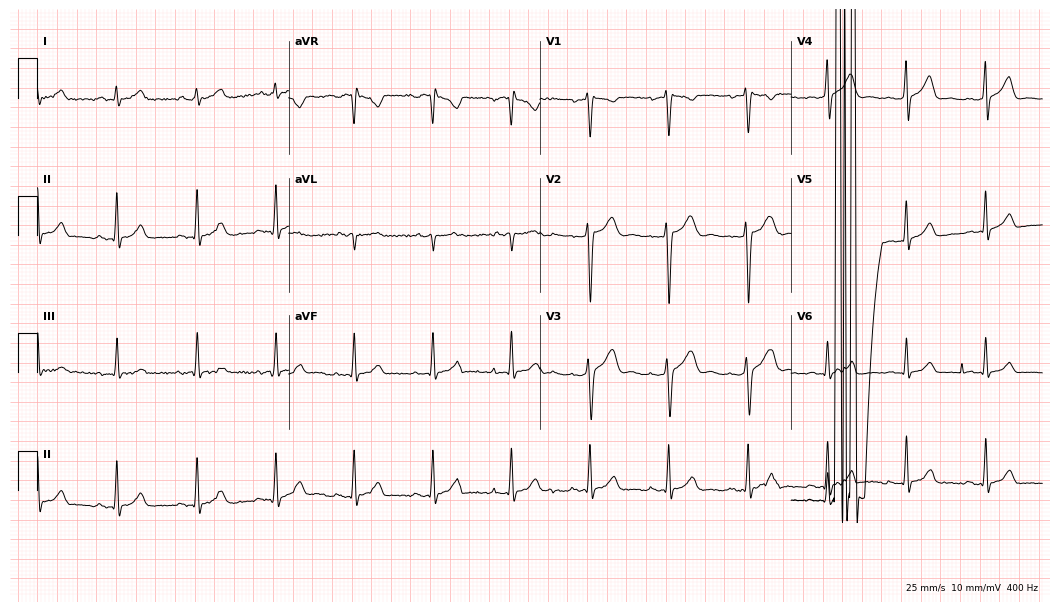
12-lead ECG from a man, 29 years old. Screened for six findings — first-degree AV block, right bundle branch block, left bundle branch block, sinus bradycardia, atrial fibrillation, sinus tachycardia — none is recorded. Only these six findings were labelled.